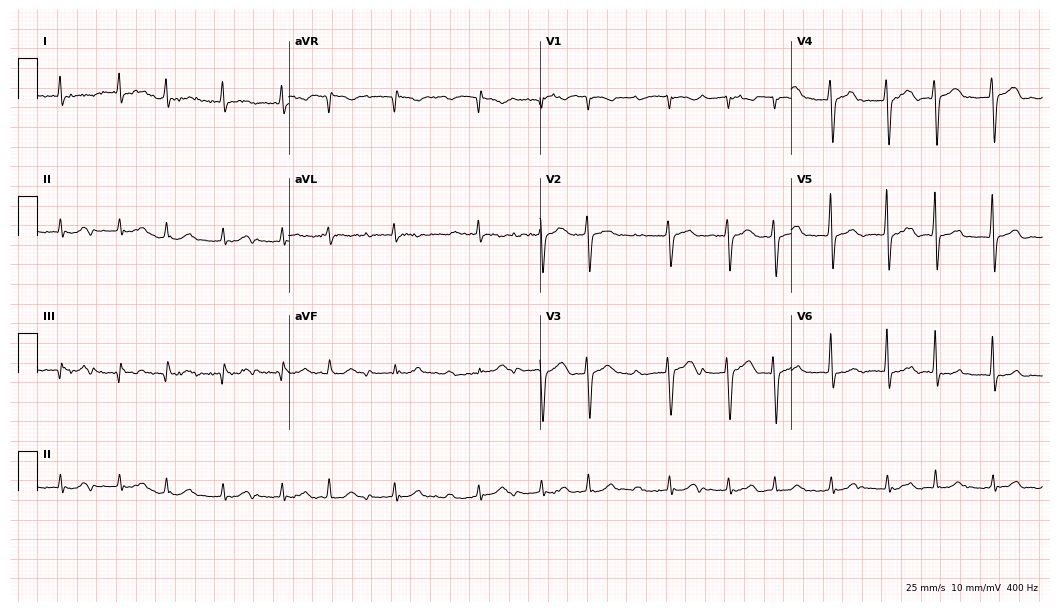
12-lead ECG from a man, 75 years old. Shows atrial fibrillation (AF).